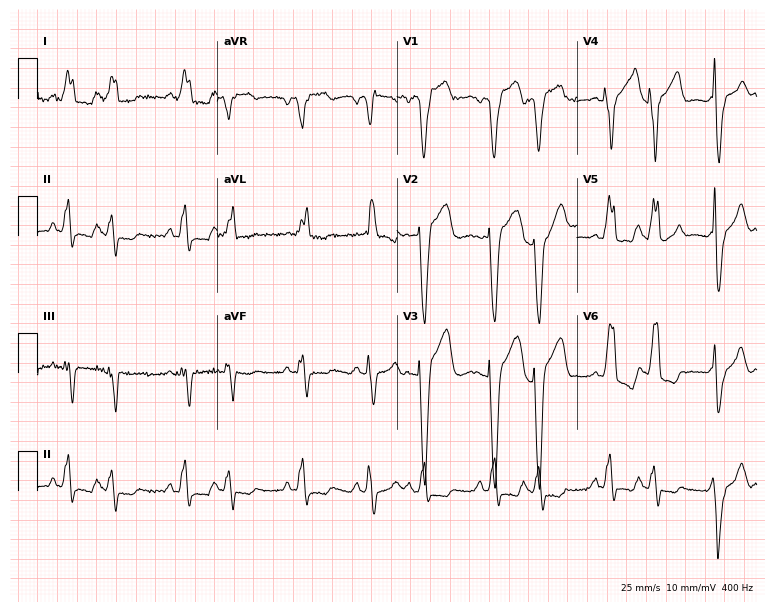
Electrocardiogram, a male patient, 68 years old. Interpretation includes left bundle branch block (LBBB), atrial fibrillation (AF).